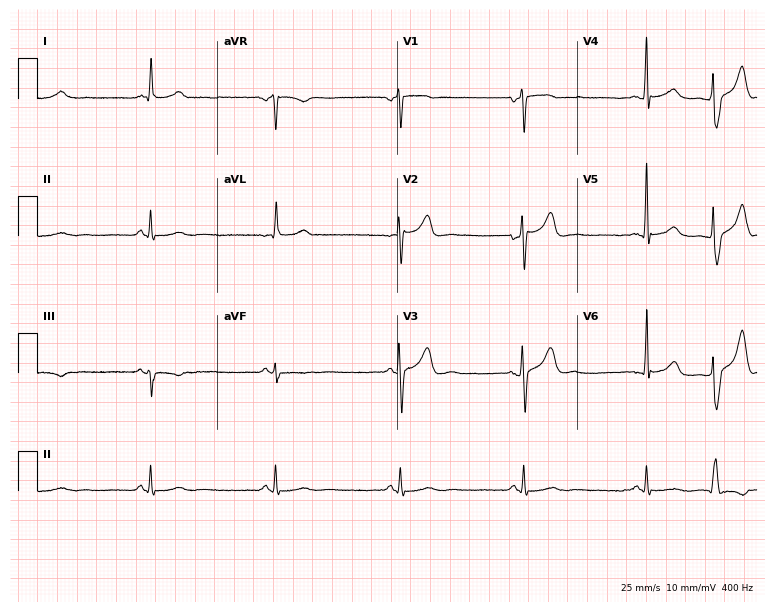
12-lead ECG from a male, 39 years old. Recorded interpretation: within normal limits.